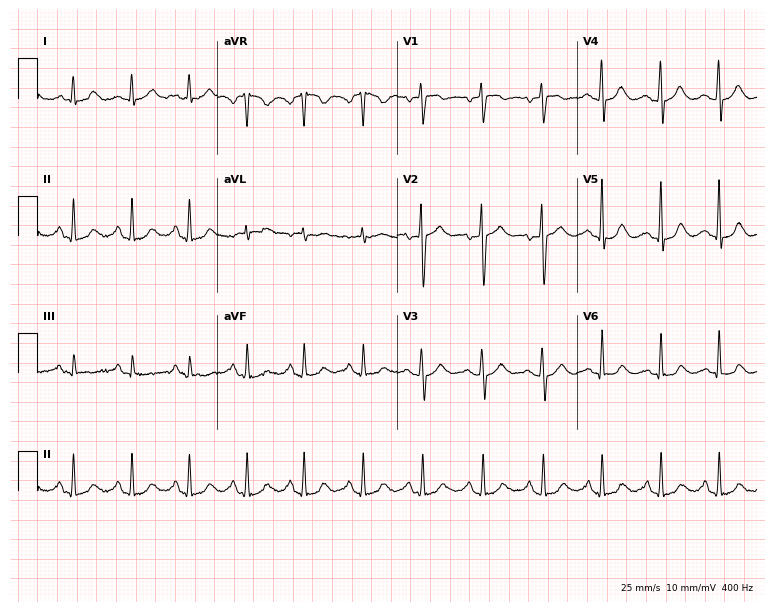
Electrocardiogram, a woman, 59 years old. Interpretation includes sinus tachycardia (a sinus rate of 100 beats per minute or more).